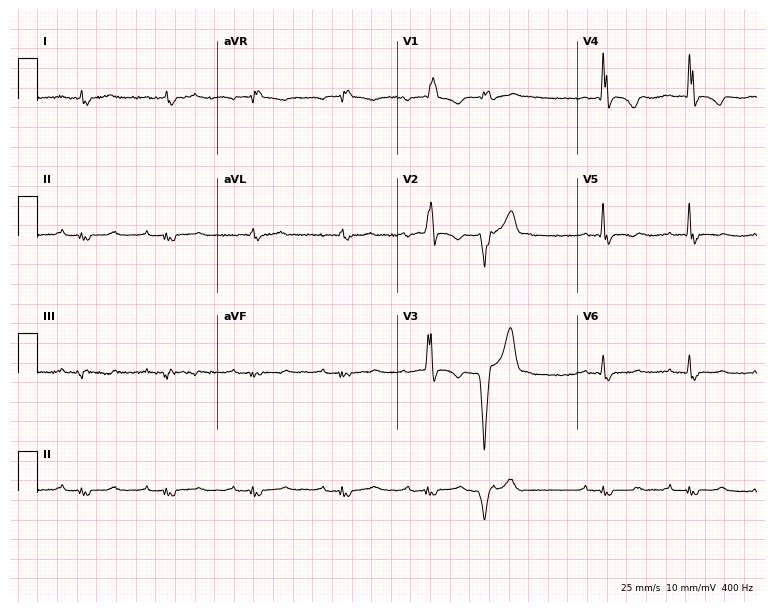
ECG (7.3-second recording at 400 Hz) — a man, 59 years old. Findings include first-degree AV block, right bundle branch block.